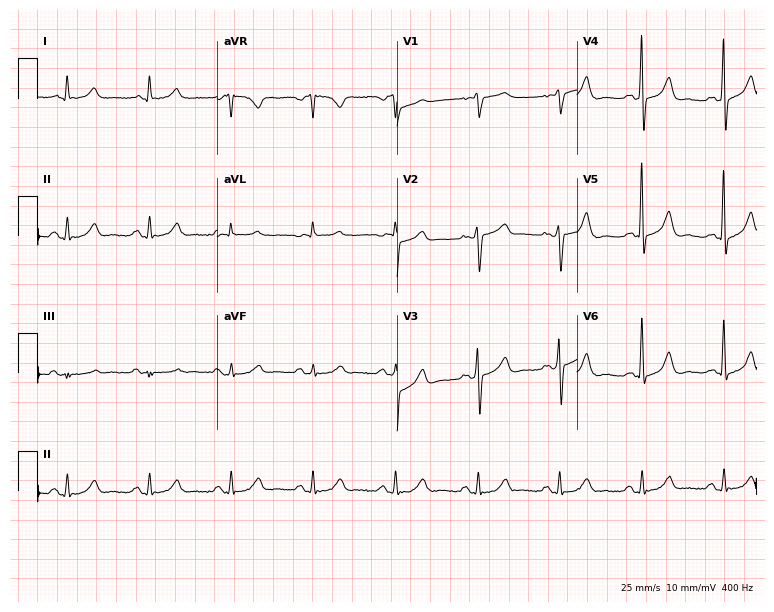
Resting 12-lead electrocardiogram. Patient: a woman, 66 years old. None of these six findings is recorded: first-degree AV block, right bundle branch block, left bundle branch block, sinus bradycardia, atrial fibrillation, sinus tachycardia.